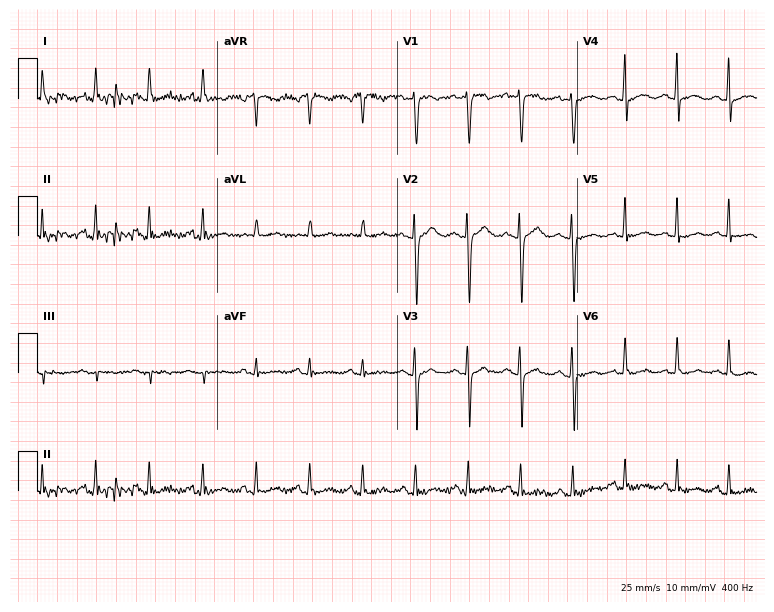
12-lead ECG from a female patient, 51 years old. Findings include sinus tachycardia (a sinus rate of 100 beats per minute or more).